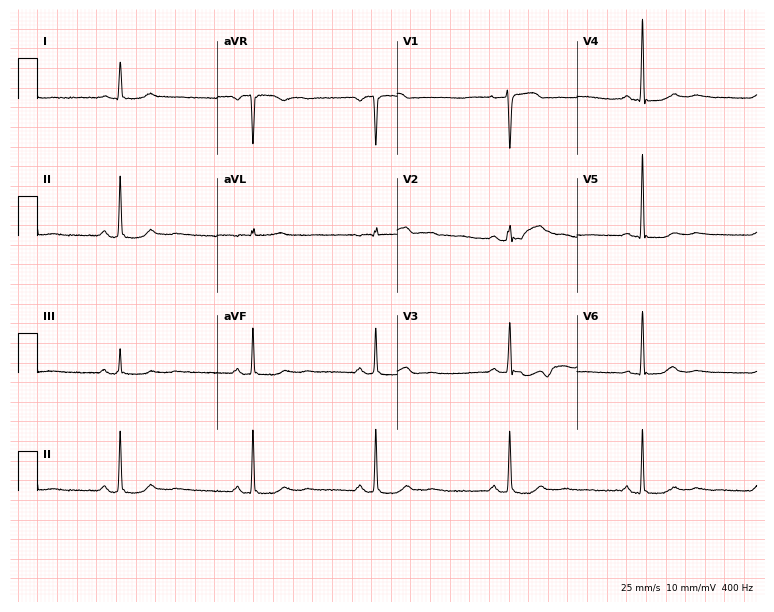
Electrocardiogram (7.3-second recording at 400 Hz), a 53-year-old female patient. Of the six screened findings (first-degree AV block, right bundle branch block, left bundle branch block, sinus bradycardia, atrial fibrillation, sinus tachycardia), none is recorded.